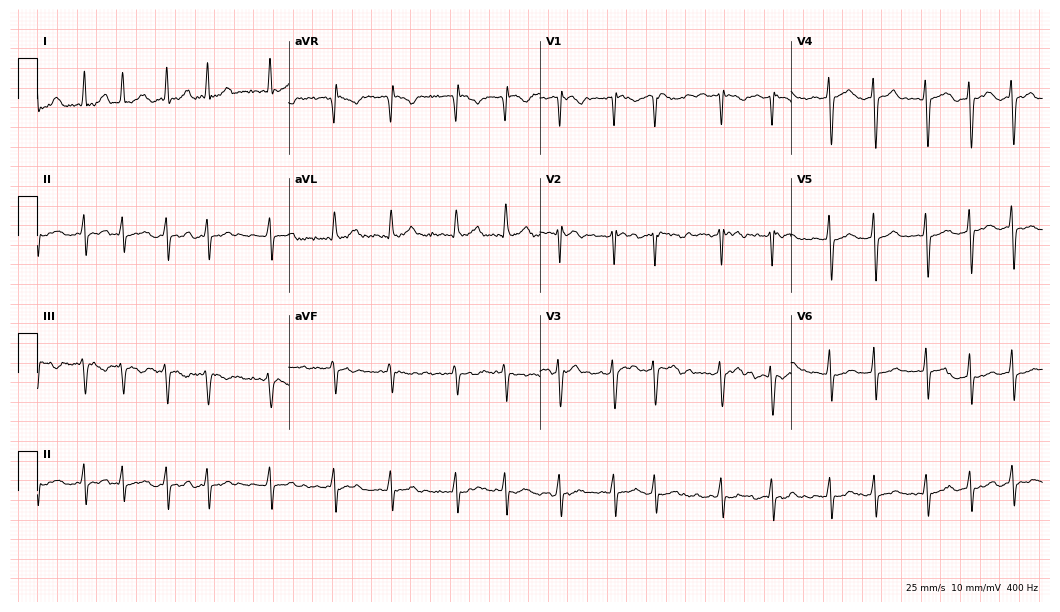
12-lead ECG from a male patient, 80 years old. Shows atrial fibrillation.